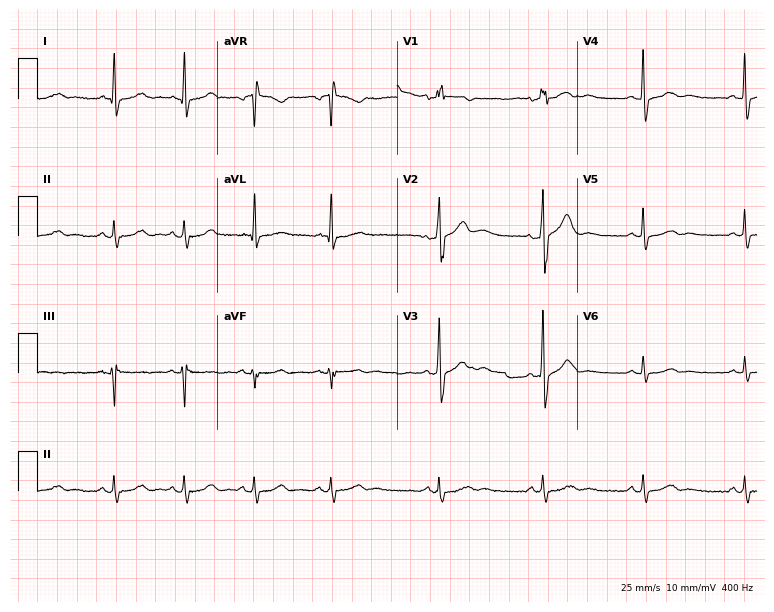
ECG — a 62-year-old male patient. Screened for six findings — first-degree AV block, right bundle branch block (RBBB), left bundle branch block (LBBB), sinus bradycardia, atrial fibrillation (AF), sinus tachycardia — none is recorded.